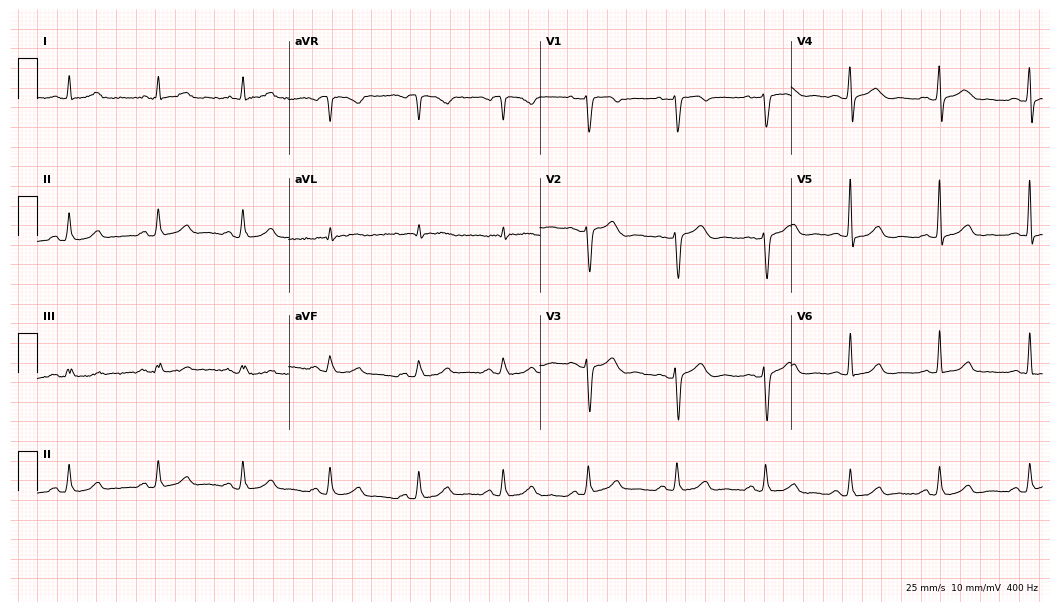
ECG (10.2-second recording at 400 Hz) — a 42-year-old female. Labelled as a normal ECG.